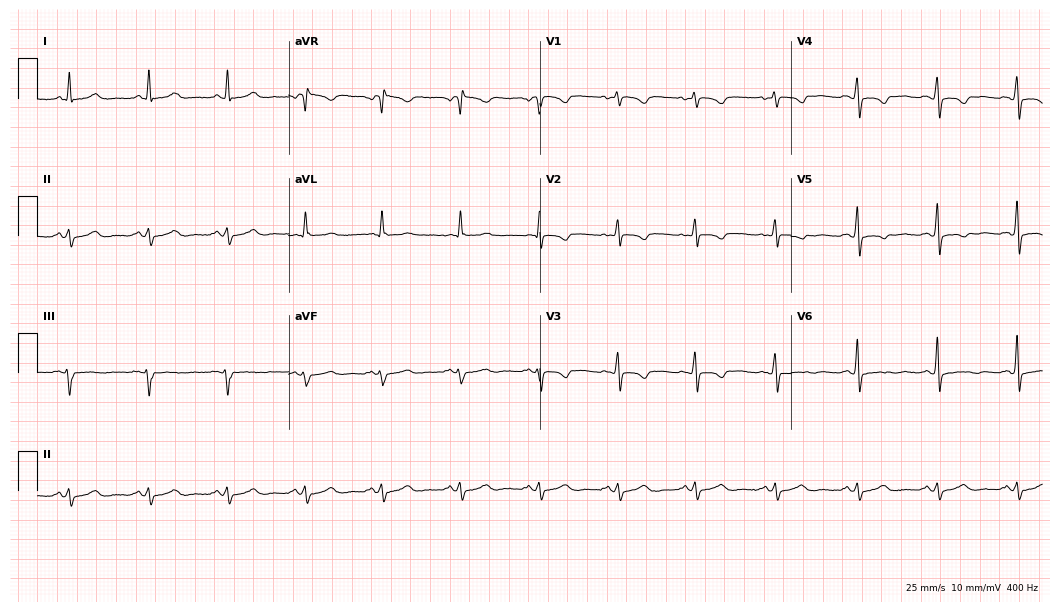
Electrocardiogram (10.2-second recording at 400 Hz), a 50-year-old female patient. Of the six screened findings (first-degree AV block, right bundle branch block (RBBB), left bundle branch block (LBBB), sinus bradycardia, atrial fibrillation (AF), sinus tachycardia), none is recorded.